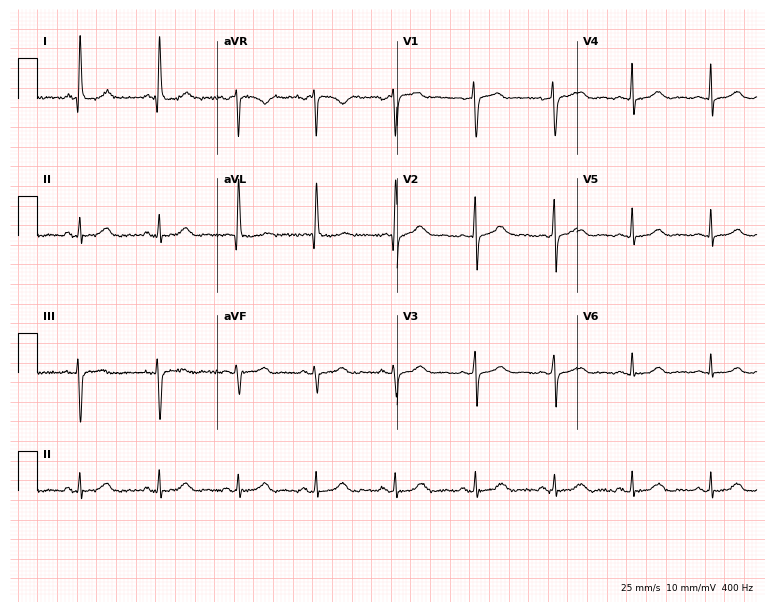
ECG (7.3-second recording at 400 Hz) — a 68-year-old female patient. Labelled as a normal ECG.